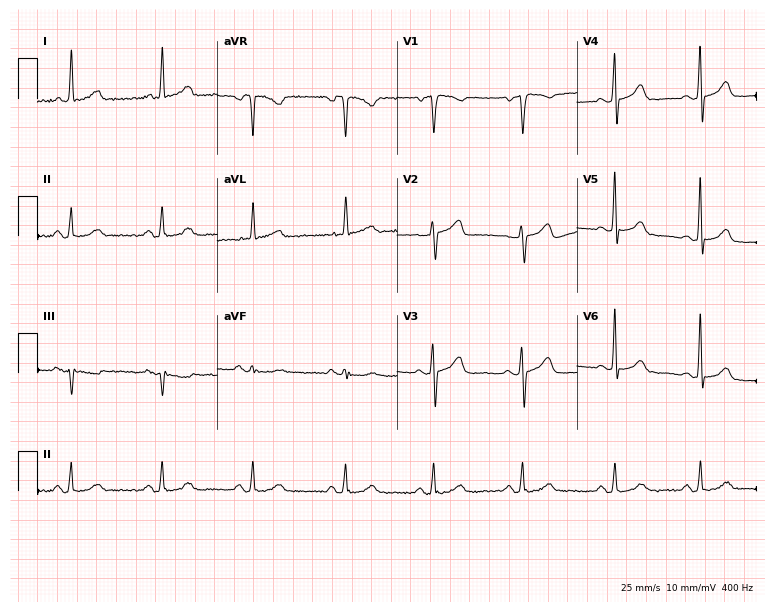
ECG (7.3-second recording at 400 Hz) — a 58-year-old woman. Screened for six findings — first-degree AV block, right bundle branch block (RBBB), left bundle branch block (LBBB), sinus bradycardia, atrial fibrillation (AF), sinus tachycardia — none is recorded. Findings outside these six are not listed.